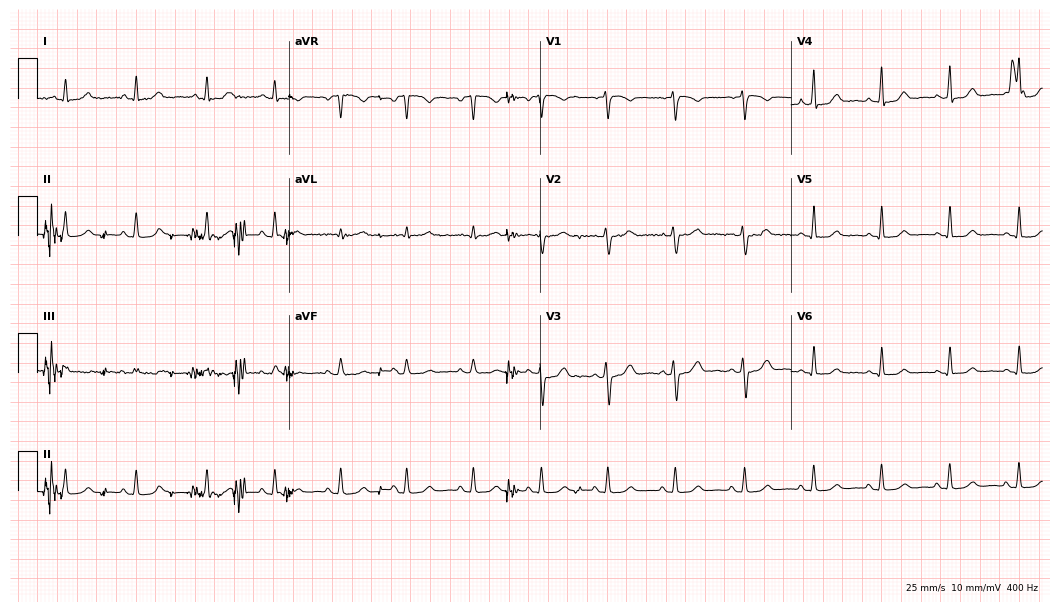
Standard 12-lead ECG recorded from a woman, 27 years old. None of these six findings is recorded: first-degree AV block, right bundle branch block (RBBB), left bundle branch block (LBBB), sinus bradycardia, atrial fibrillation (AF), sinus tachycardia. Findings outside these six are not listed.